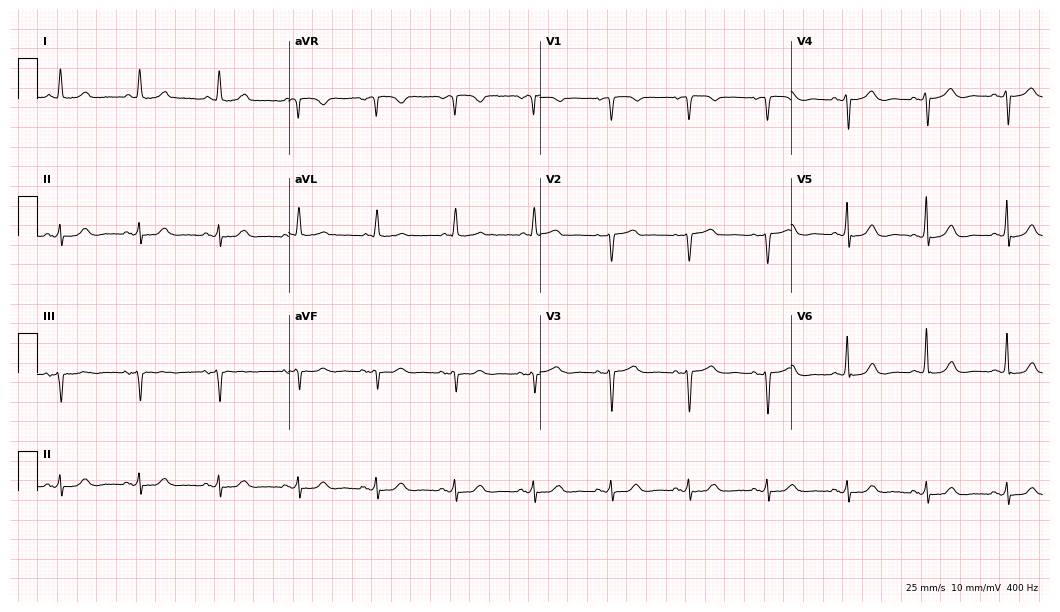
Electrocardiogram, an 84-year-old woman. Overall reading on record: normal ECG.